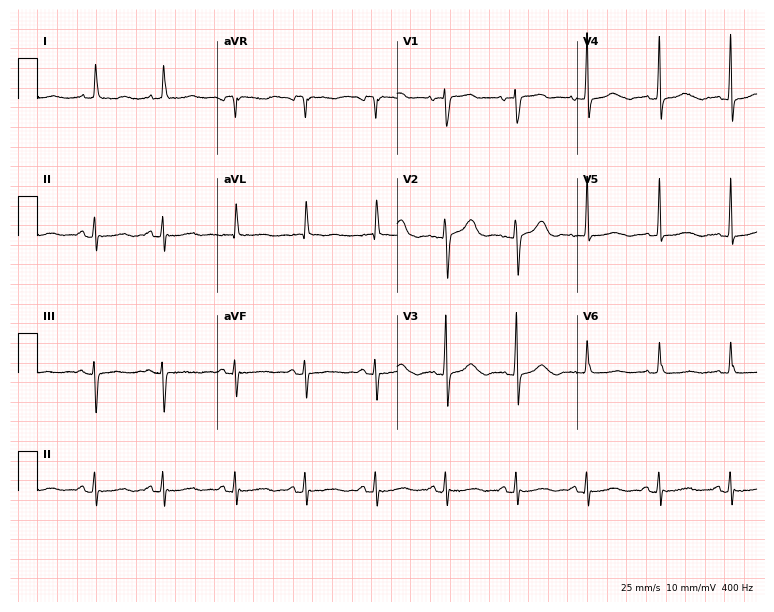
12-lead ECG (7.3-second recording at 400 Hz) from a woman, 83 years old. Labelled as a normal ECG.